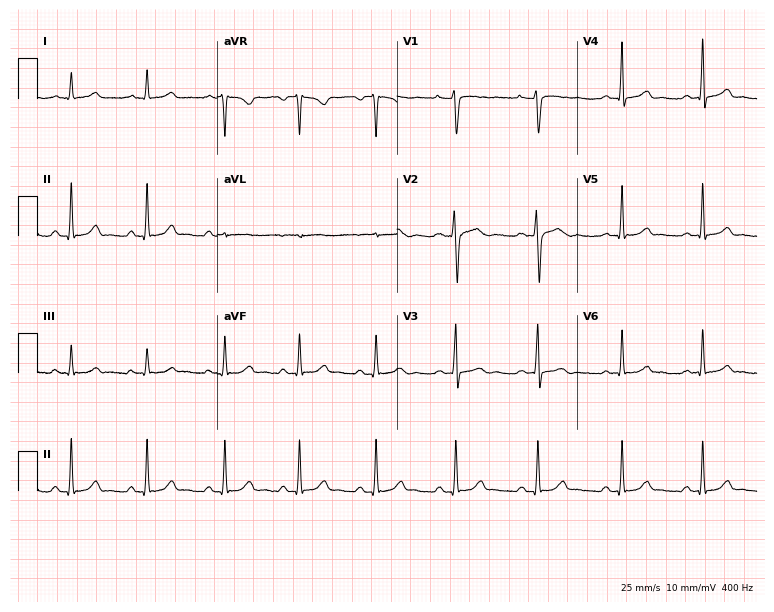
12-lead ECG from a 31-year-old woman (7.3-second recording at 400 Hz). No first-degree AV block, right bundle branch block, left bundle branch block, sinus bradycardia, atrial fibrillation or sinus tachycardia recorded for this tracing. Findings outside these six are not listed.